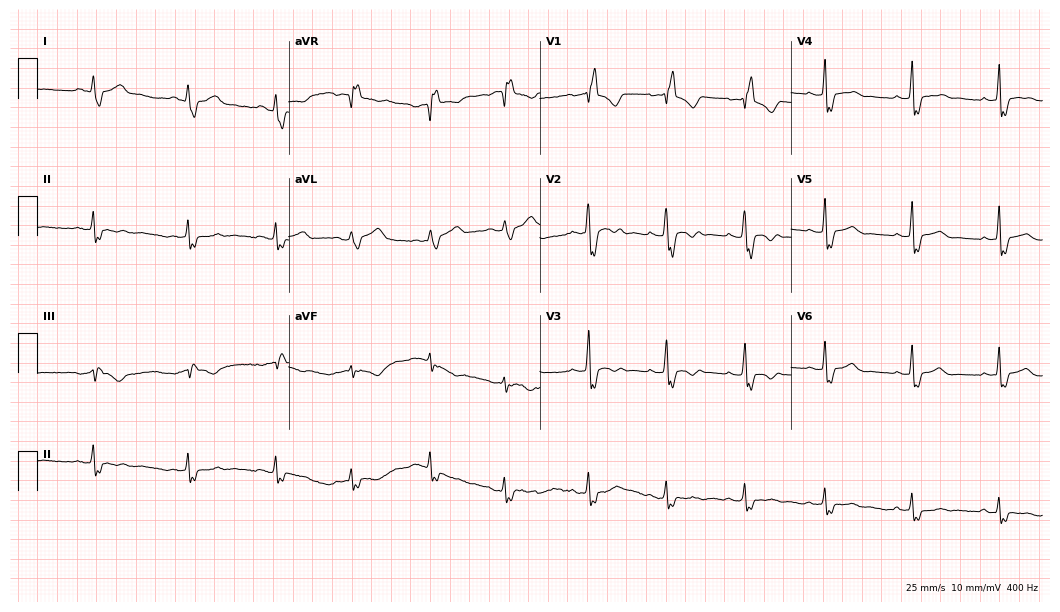
Standard 12-lead ECG recorded from a 31-year-old female patient (10.2-second recording at 400 Hz). The tracing shows right bundle branch block (RBBB).